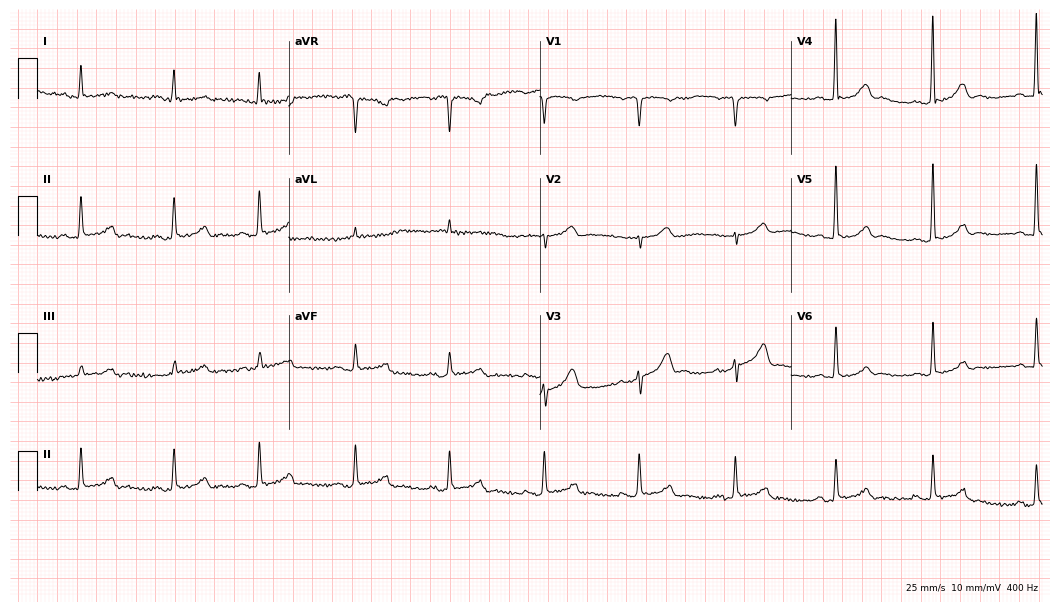
Electrocardiogram, a man, 78 years old. Overall reading on record: normal ECG.